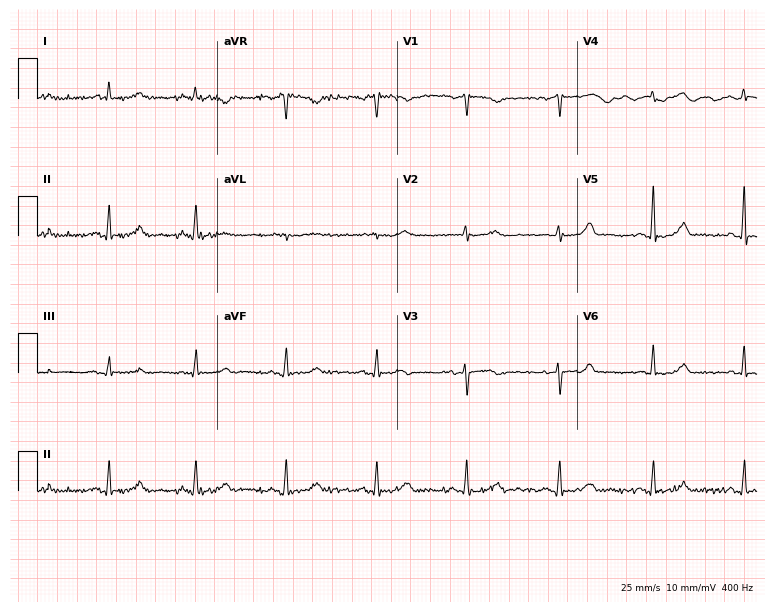
Electrocardiogram, a female patient, 52 years old. Overall reading on record: normal ECG.